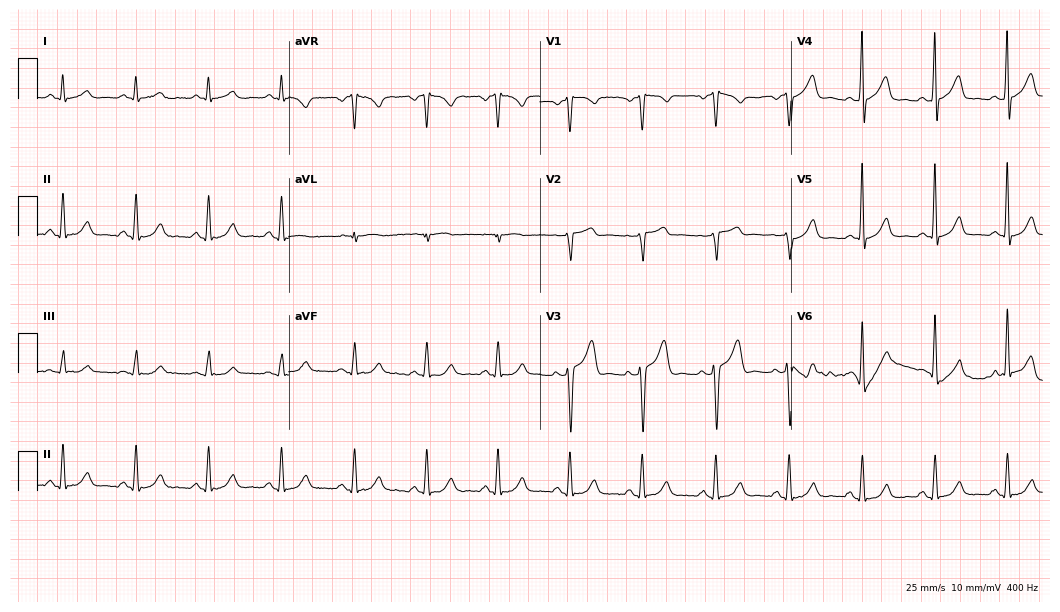
12-lead ECG from a 63-year-old male patient. Recorded interpretation: within normal limits.